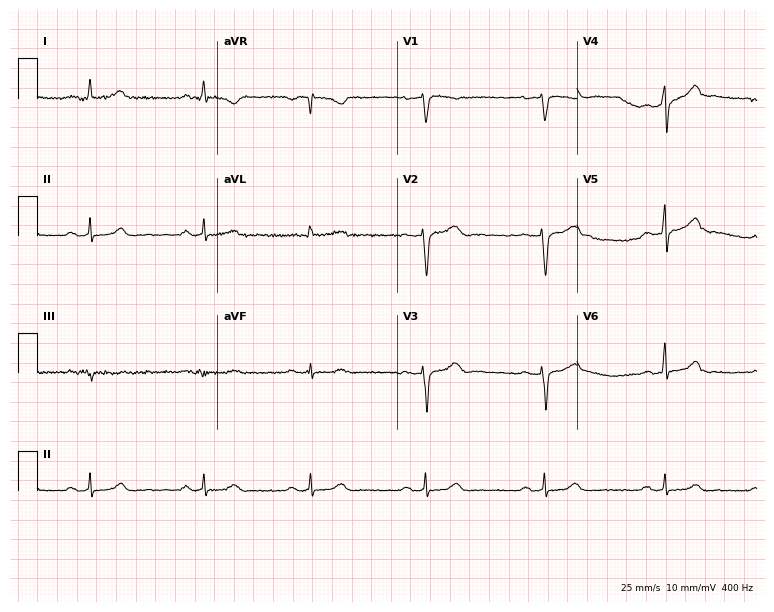
12-lead ECG from a female patient, 50 years old. Recorded interpretation: within normal limits.